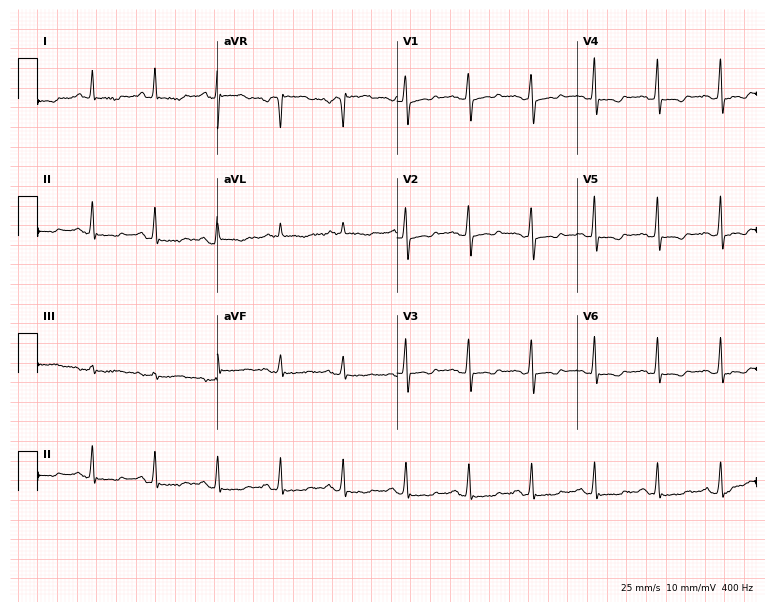
12-lead ECG (7.3-second recording at 400 Hz) from a woman, 61 years old. Screened for six findings — first-degree AV block, right bundle branch block, left bundle branch block, sinus bradycardia, atrial fibrillation, sinus tachycardia — none is recorded. Only these six findings were labelled.